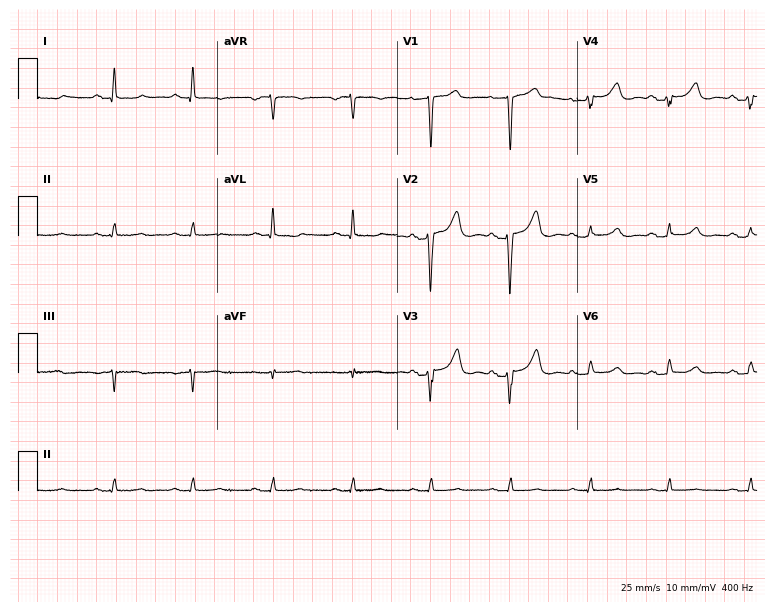
Resting 12-lead electrocardiogram. Patient: a 53-year-old female. None of these six findings is recorded: first-degree AV block, right bundle branch block, left bundle branch block, sinus bradycardia, atrial fibrillation, sinus tachycardia.